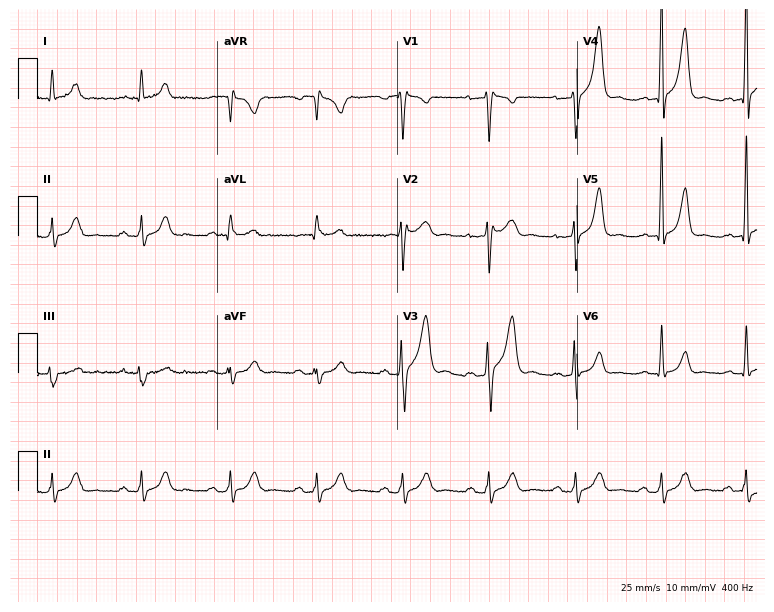
Resting 12-lead electrocardiogram (7.3-second recording at 400 Hz). Patient: a male, 34 years old. None of these six findings is recorded: first-degree AV block, right bundle branch block, left bundle branch block, sinus bradycardia, atrial fibrillation, sinus tachycardia.